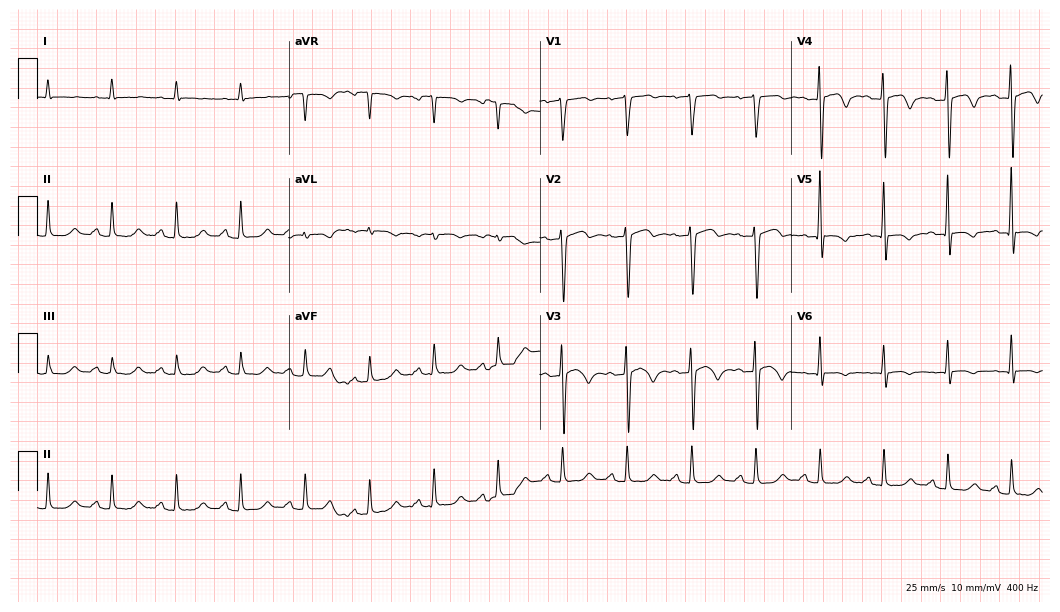
12-lead ECG from a 61-year-old male. Screened for six findings — first-degree AV block, right bundle branch block (RBBB), left bundle branch block (LBBB), sinus bradycardia, atrial fibrillation (AF), sinus tachycardia — none is recorded. Other findings, if any, are not listed.